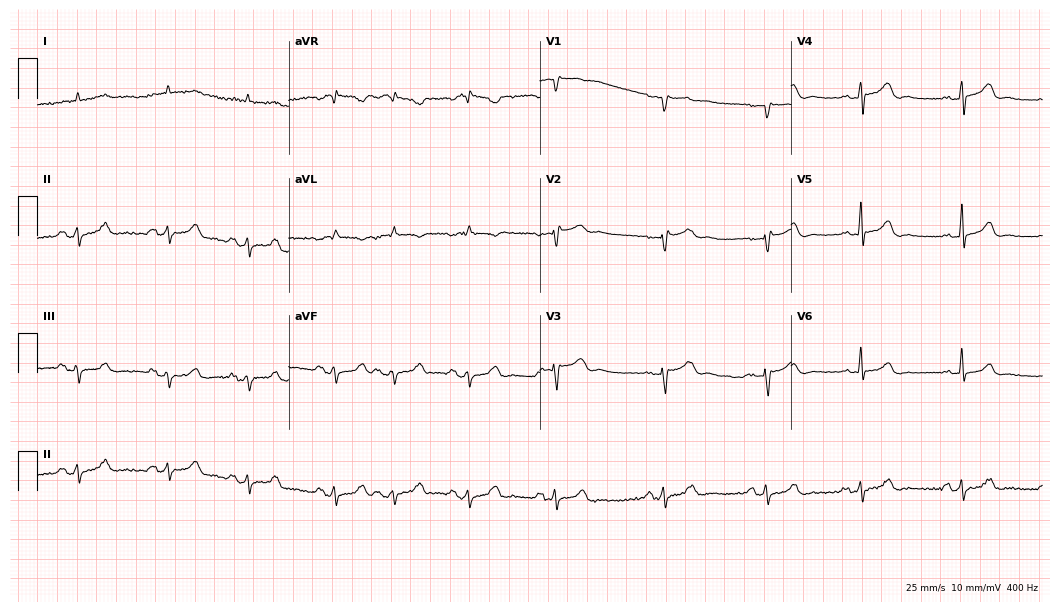
12-lead ECG from a female patient, 69 years old. Screened for six findings — first-degree AV block, right bundle branch block, left bundle branch block, sinus bradycardia, atrial fibrillation, sinus tachycardia — none is recorded.